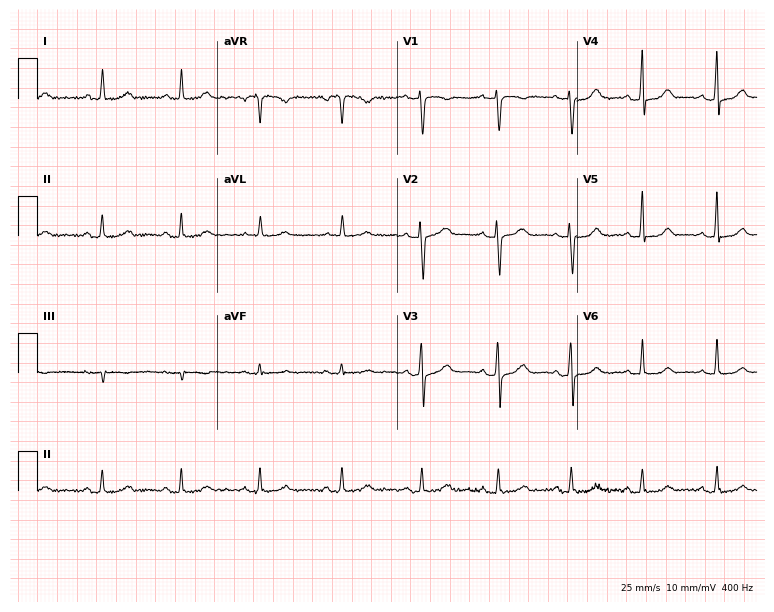
12-lead ECG (7.3-second recording at 400 Hz) from a 51-year-old woman. Labelled as a normal ECG.